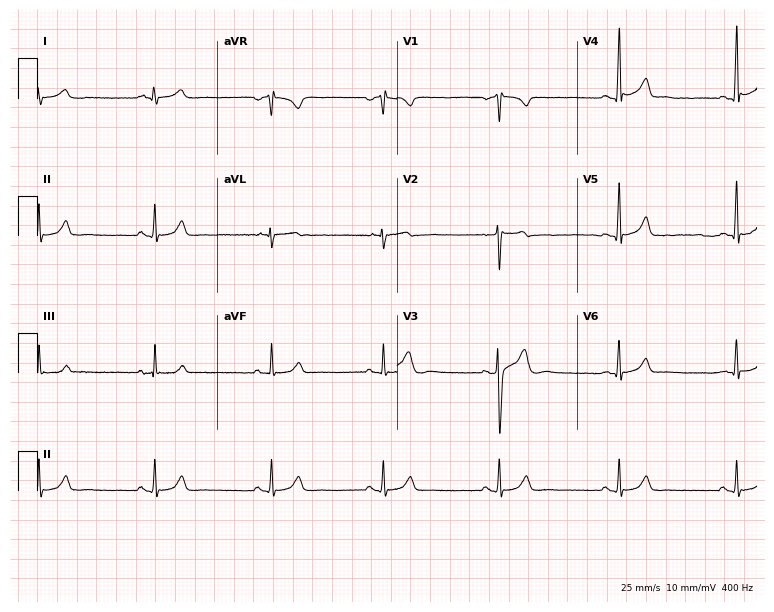
Resting 12-lead electrocardiogram (7.3-second recording at 400 Hz). Patient: a 31-year-old man. Read as a normal ECG.